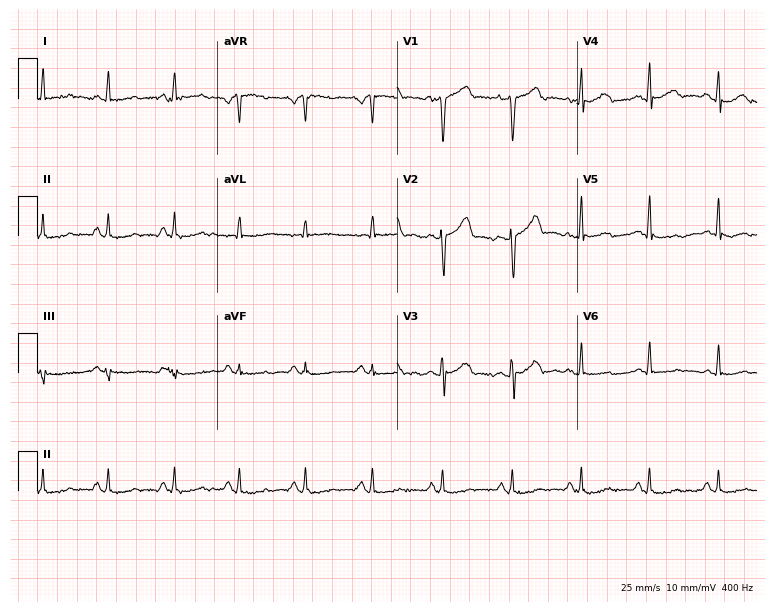
Standard 12-lead ECG recorded from a male, 60 years old (7.3-second recording at 400 Hz). Read as a normal ECG.